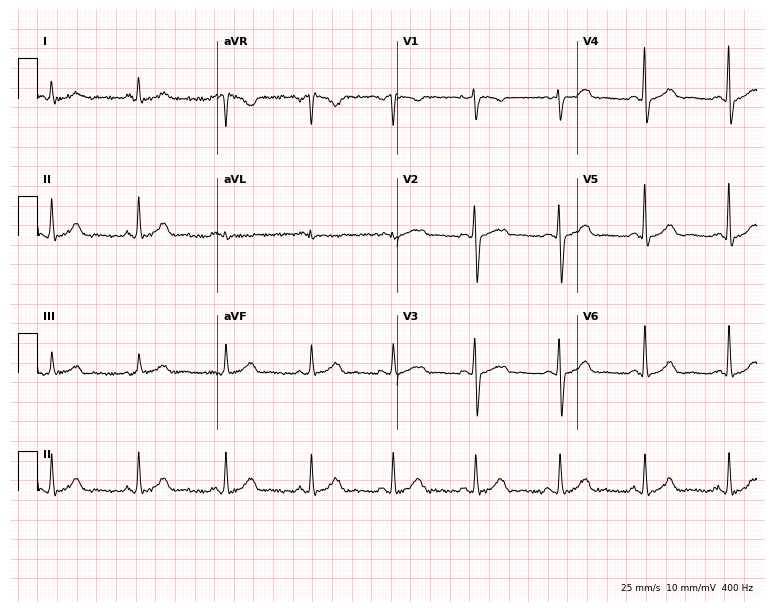
12-lead ECG from a female, 33 years old. No first-degree AV block, right bundle branch block, left bundle branch block, sinus bradycardia, atrial fibrillation or sinus tachycardia recorded for this tracing. Only these six findings were labelled.